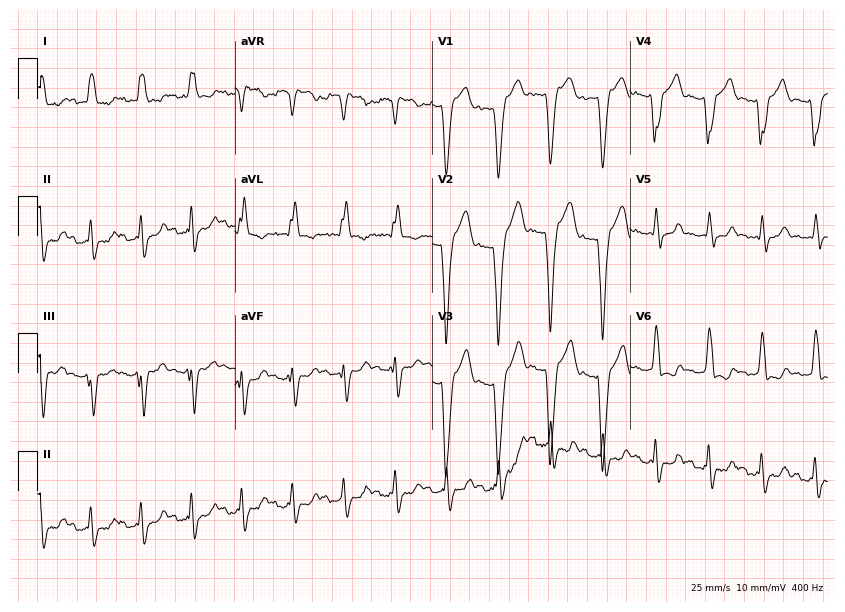
ECG (8.1-second recording at 400 Hz) — a female, 49 years old. Findings include left bundle branch block.